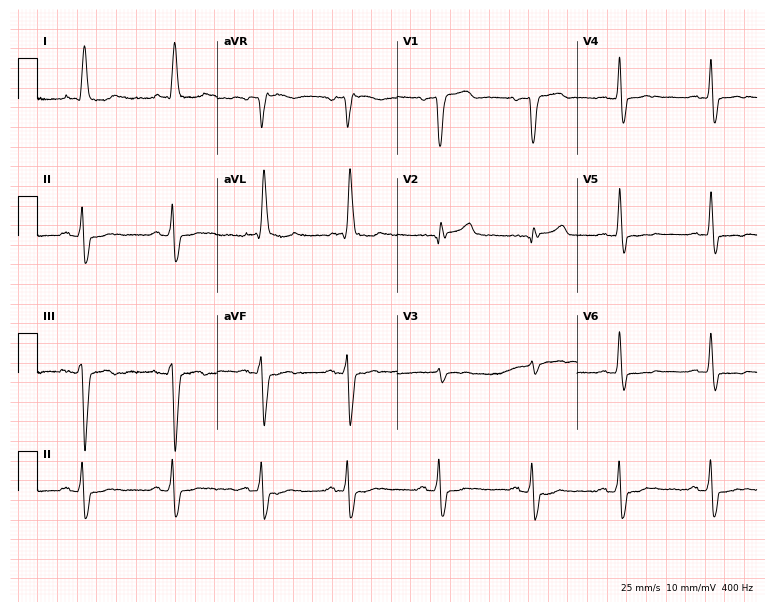
Electrocardiogram (7.3-second recording at 400 Hz), a woman, 73 years old. Interpretation includes right bundle branch block (RBBB).